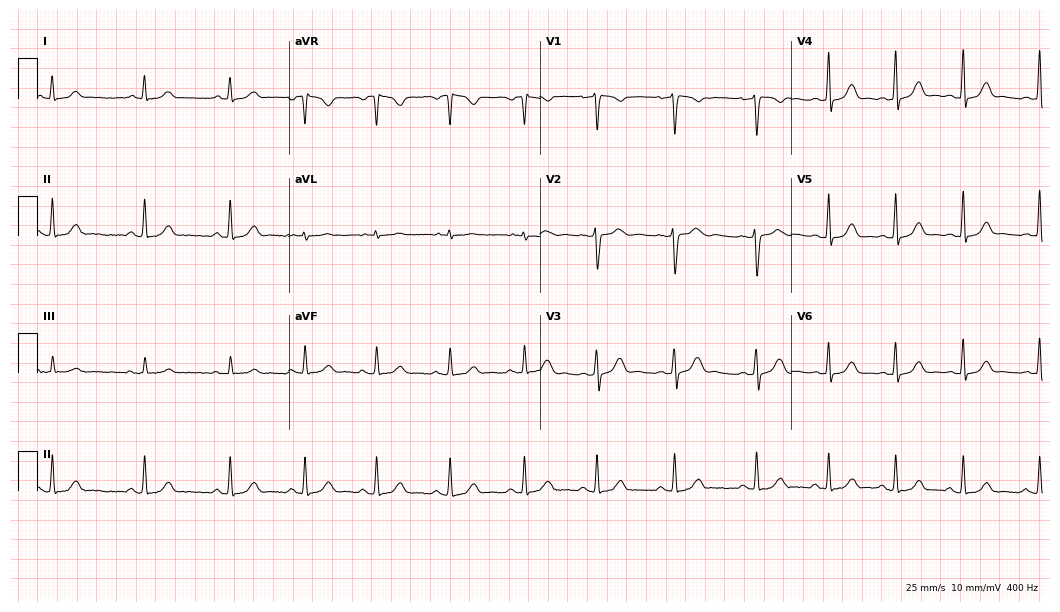
Electrocardiogram (10.2-second recording at 400 Hz), a 25-year-old woman. Overall reading on record: normal ECG.